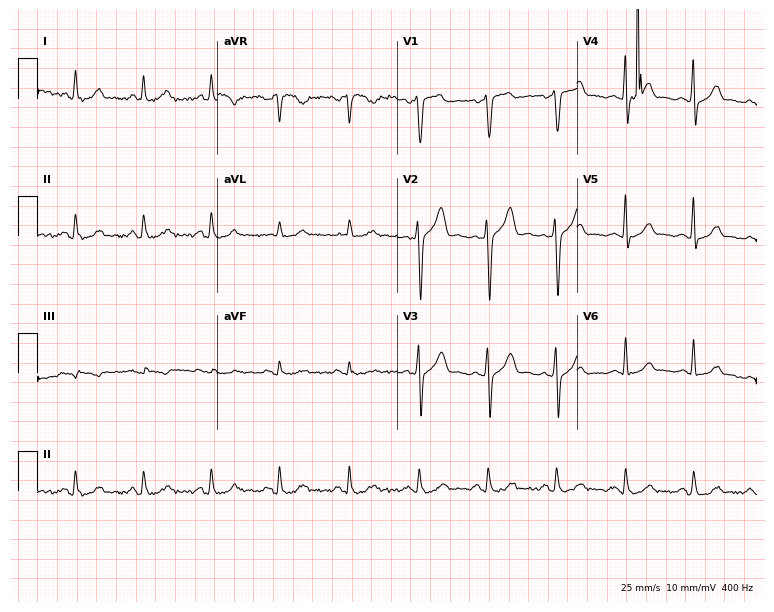
ECG (7.3-second recording at 400 Hz) — a 37-year-old male. Screened for six findings — first-degree AV block, right bundle branch block, left bundle branch block, sinus bradycardia, atrial fibrillation, sinus tachycardia — none is recorded. Other findings, if any, are not listed.